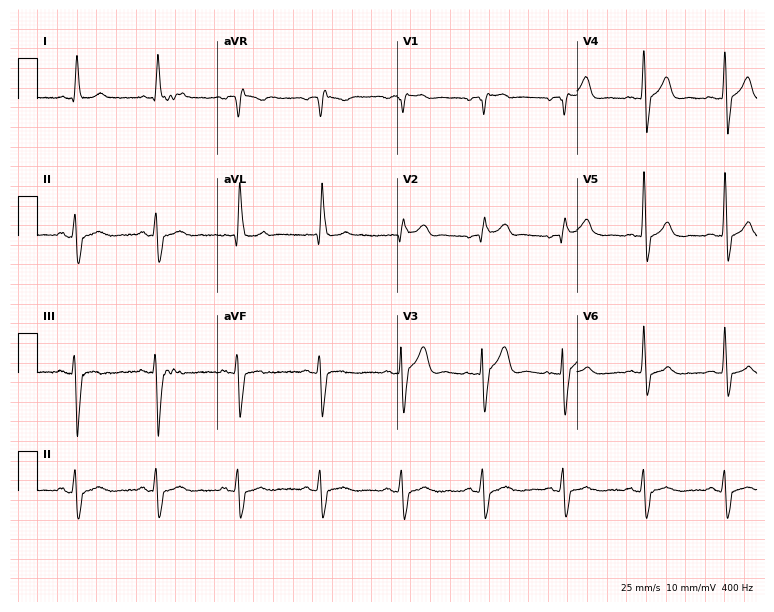
ECG (7.3-second recording at 400 Hz) — a male, 72 years old. Screened for six findings — first-degree AV block, right bundle branch block, left bundle branch block, sinus bradycardia, atrial fibrillation, sinus tachycardia — none is recorded. Other findings, if any, are not listed.